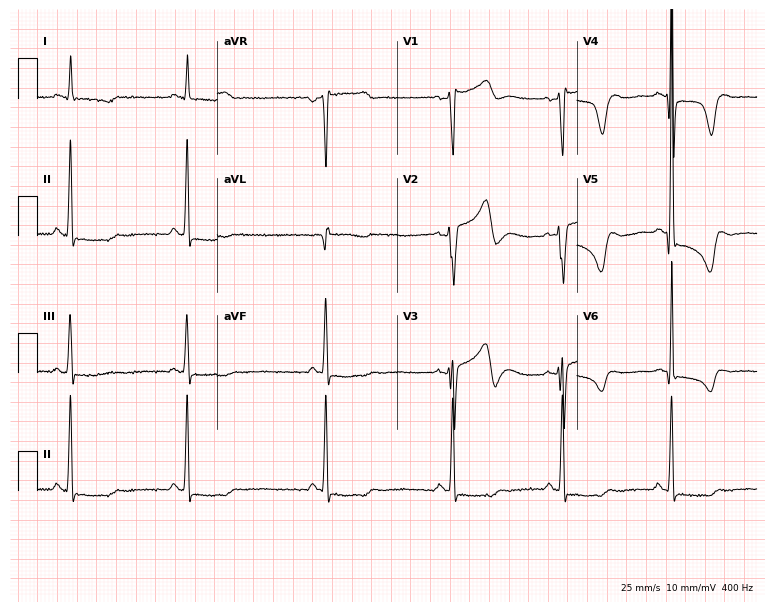
12-lead ECG (7.3-second recording at 400 Hz) from a male patient, 77 years old. Screened for six findings — first-degree AV block, right bundle branch block, left bundle branch block, sinus bradycardia, atrial fibrillation, sinus tachycardia — none is recorded.